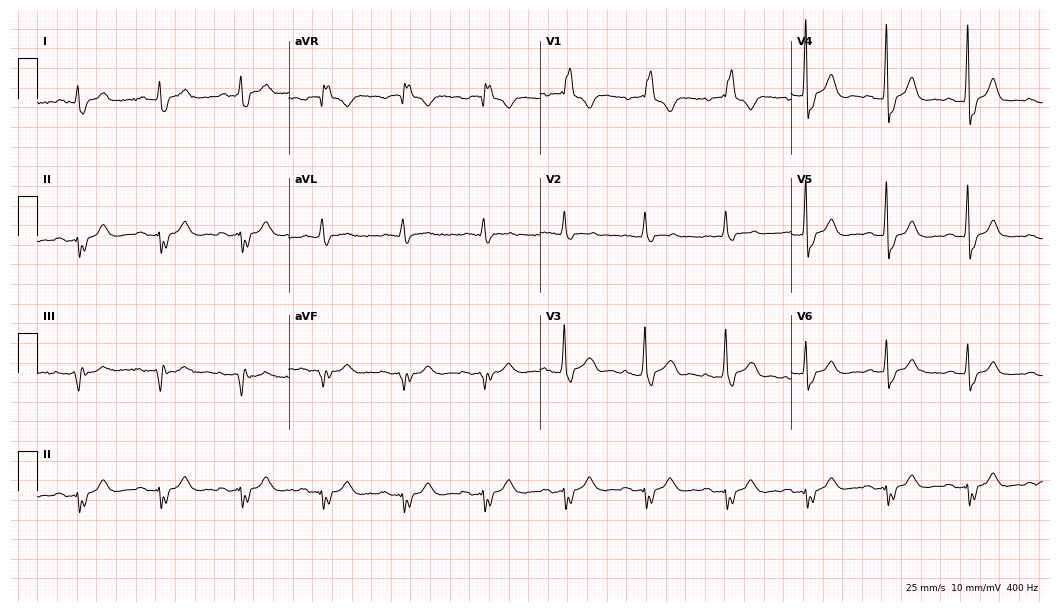
12-lead ECG (10.2-second recording at 400 Hz) from a 70-year-old man. Findings include right bundle branch block.